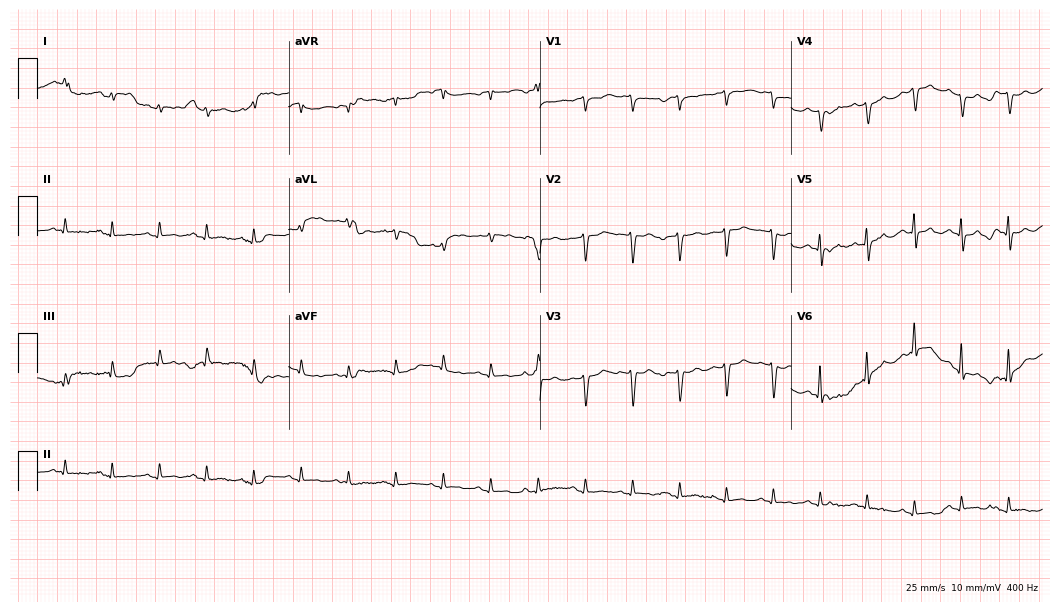
Resting 12-lead electrocardiogram. Patient: a 33-year-old female. None of these six findings is recorded: first-degree AV block, right bundle branch block, left bundle branch block, sinus bradycardia, atrial fibrillation, sinus tachycardia.